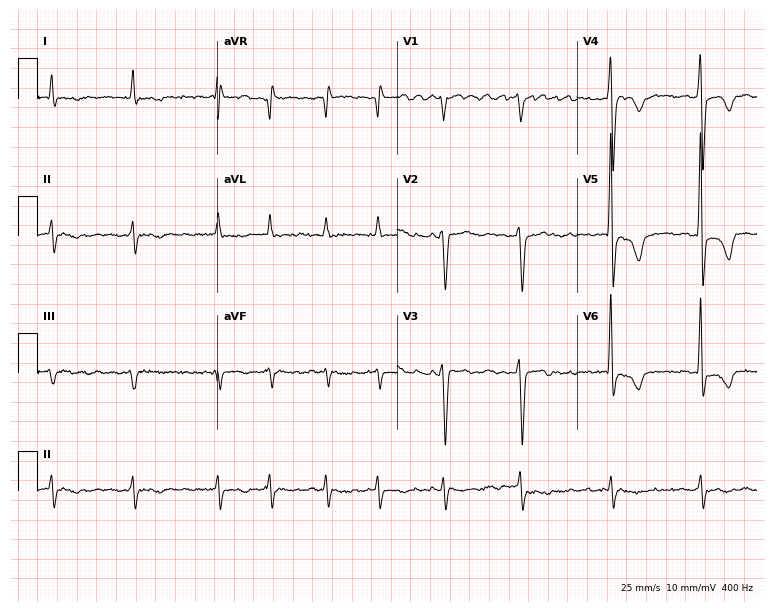
Electrocardiogram (7.3-second recording at 400 Hz), a 78-year-old male. Interpretation includes atrial fibrillation.